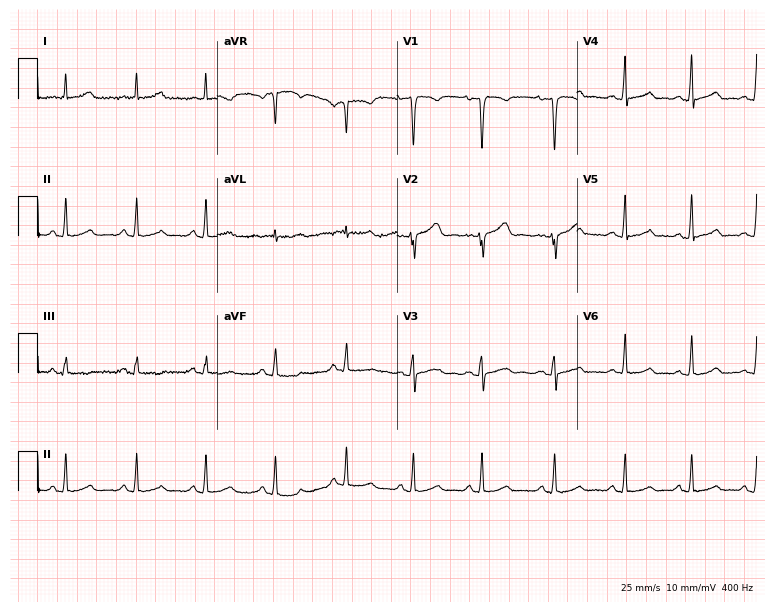
Resting 12-lead electrocardiogram (7.3-second recording at 400 Hz). Patient: a 29-year-old female. None of these six findings is recorded: first-degree AV block, right bundle branch block, left bundle branch block, sinus bradycardia, atrial fibrillation, sinus tachycardia. Other findings, if any, are not listed.